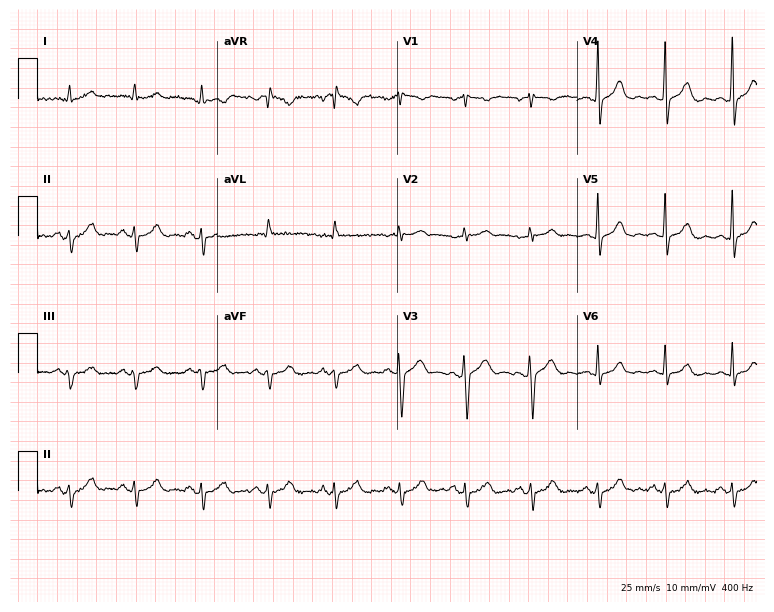
ECG — a male patient, 56 years old. Screened for six findings — first-degree AV block, right bundle branch block, left bundle branch block, sinus bradycardia, atrial fibrillation, sinus tachycardia — none is recorded. Findings outside these six are not listed.